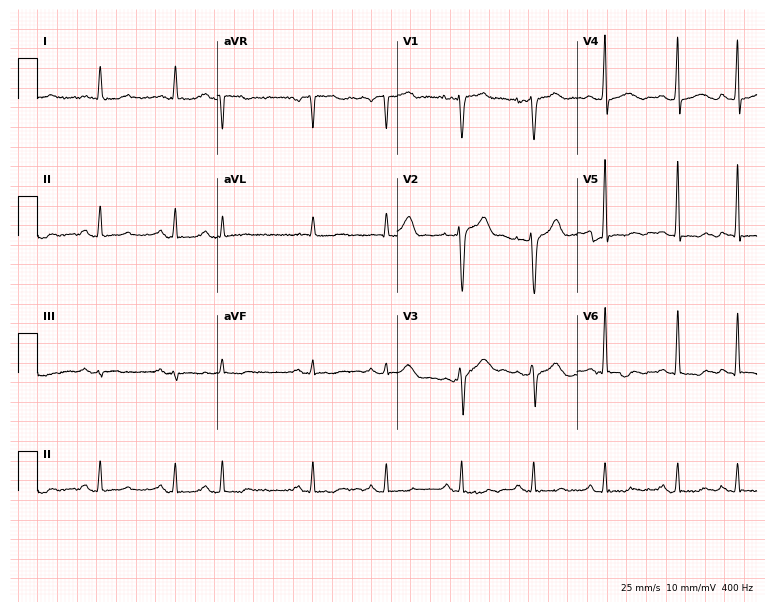
ECG — a male patient, 52 years old. Screened for six findings — first-degree AV block, right bundle branch block (RBBB), left bundle branch block (LBBB), sinus bradycardia, atrial fibrillation (AF), sinus tachycardia — none is recorded.